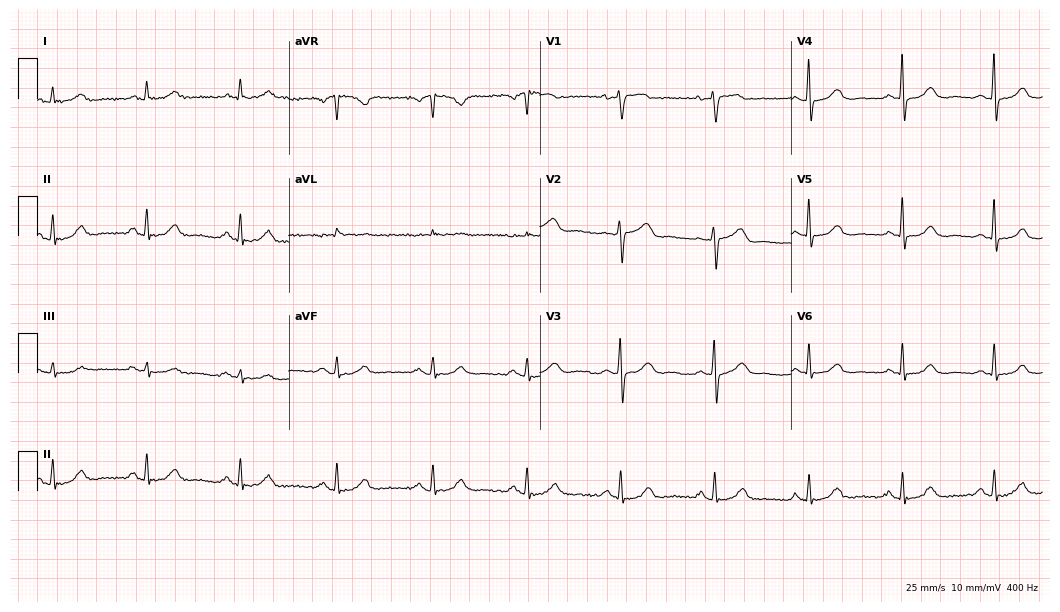
12-lead ECG from a 57-year-old woman (10.2-second recording at 400 Hz). Recorded interpretation: within normal limits.